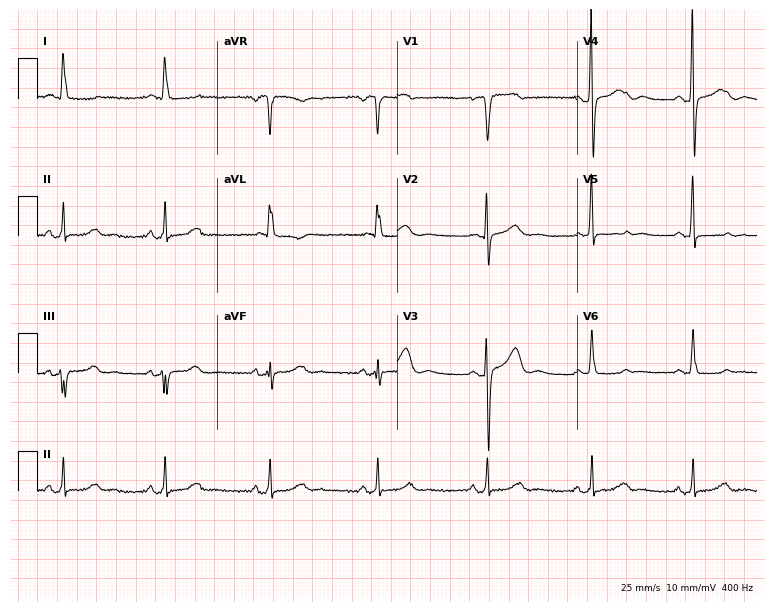
12-lead ECG (7.3-second recording at 400 Hz) from a 57-year-old woman. Screened for six findings — first-degree AV block, right bundle branch block, left bundle branch block, sinus bradycardia, atrial fibrillation, sinus tachycardia — none is recorded.